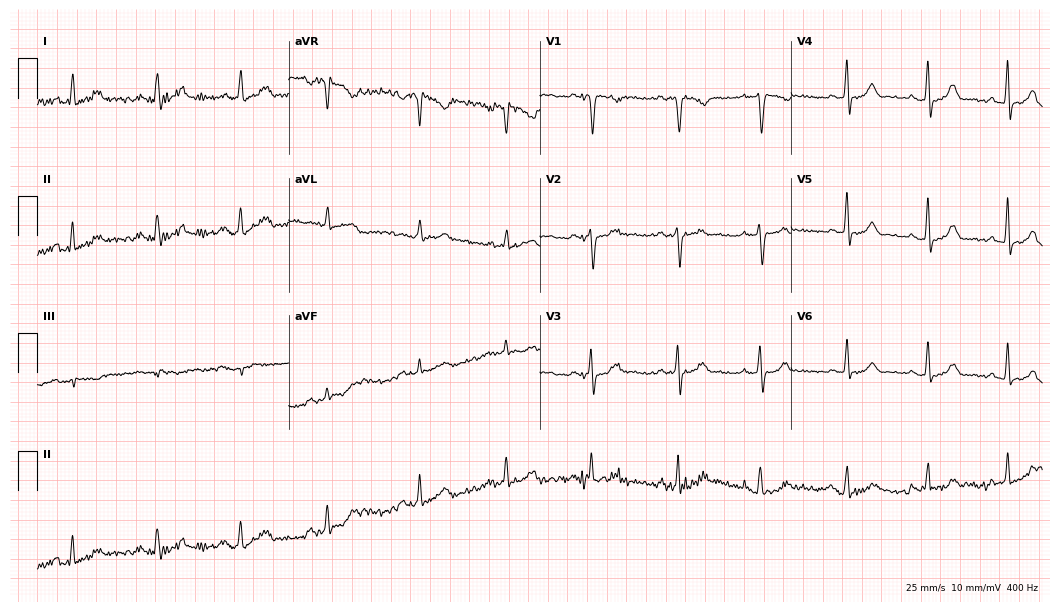
12-lead ECG from a female patient, 35 years old. Labelled as a normal ECG.